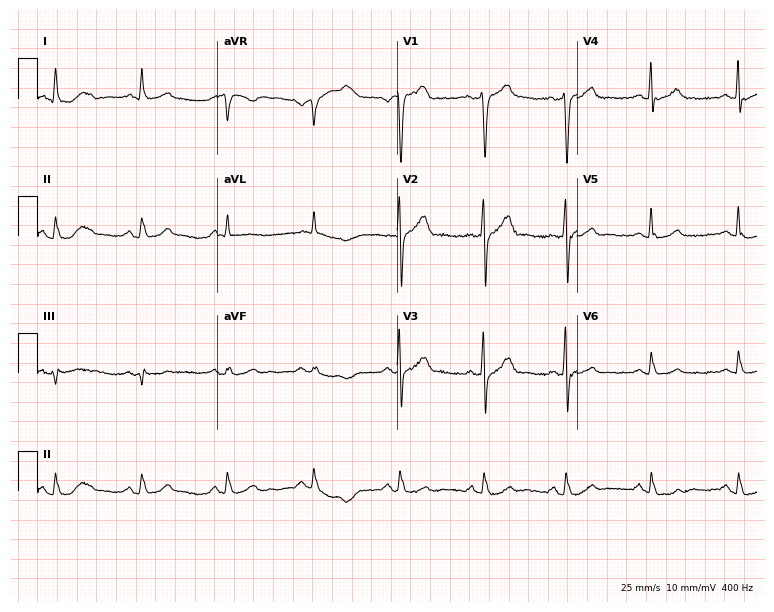
Electrocardiogram (7.3-second recording at 400 Hz), a male, 55 years old. Of the six screened findings (first-degree AV block, right bundle branch block, left bundle branch block, sinus bradycardia, atrial fibrillation, sinus tachycardia), none is recorded.